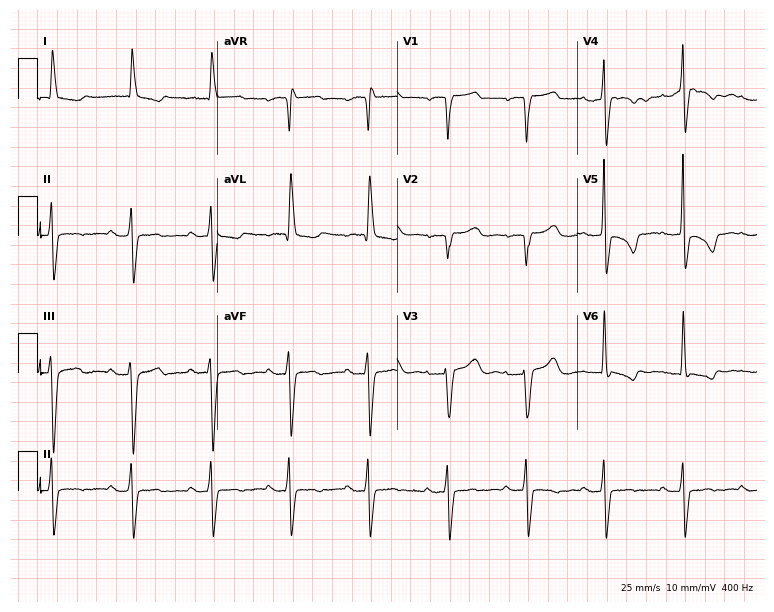
Standard 12-lead ECG recorded from an 84-year-old female patient. None of these six findings is recorded: first-degree AV block, right bundle branch block (RBBB), left bundle branch block (LBBB), sinus bradycardia, atrial fibrillation (AF), sinus tachycardia. Other findings, if any, are not listed.